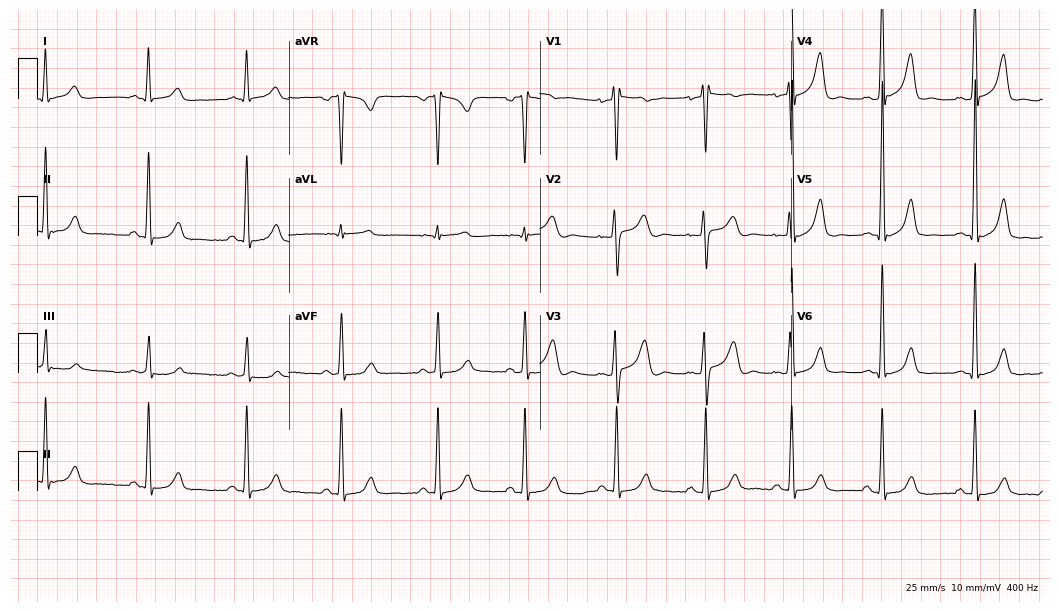
Standard 12-lead ECG recorded from a female patient, 29 years old (10.2-second recording at 400 Hz). None of these six findings is recorded: first-degree AV block, right bundle branch block (RBBB), left bundle branch block (LBBB), sinus bradycardia, atrial fibrillation (AF), sinus tachycardia. Only these six findings were labelled.